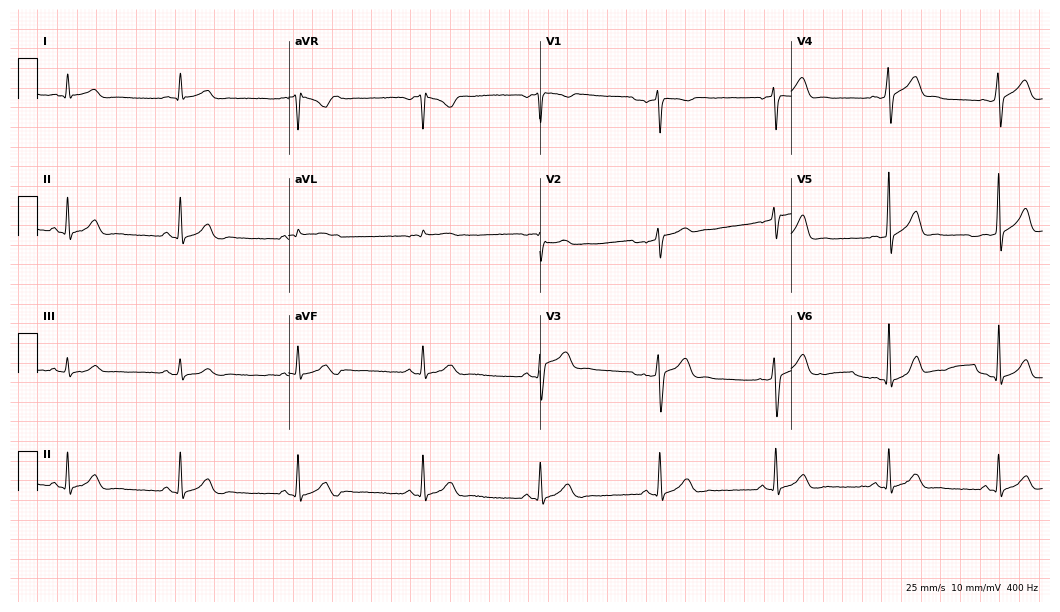
Electrocardiogram, a male patient, 44 years old. Interpretation includes sinus bradycardia (a sinus rate of 50 beats per minute or less).